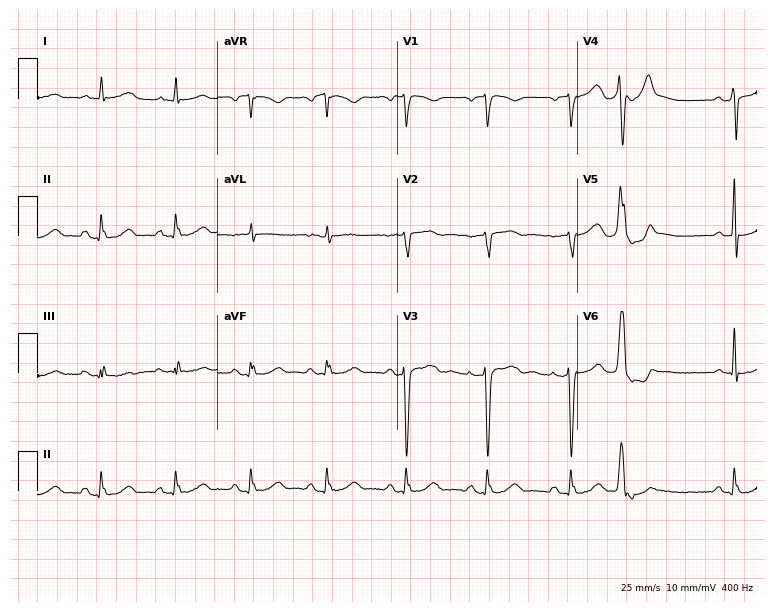
12-lead ECG from a 79-year-old male patient. No first-degree AV block, right bundle branch block, left bundle branch block, sinus bradycardia, atrial fibrillation or sinus tachycardia recorded for this tracing.